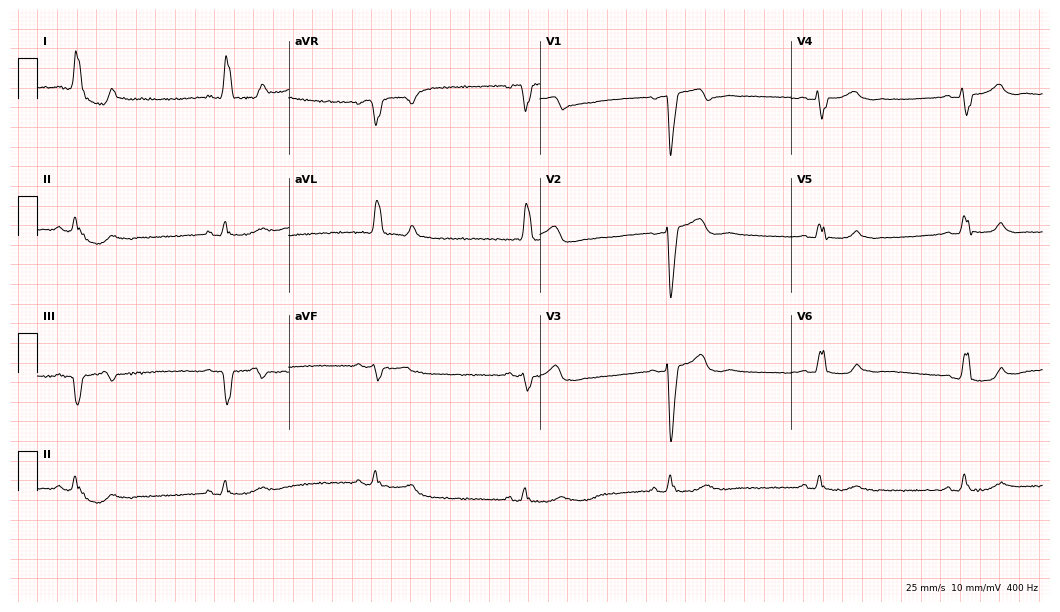
ECG (10.2-second recording at 400 Hz) — a 63-year-old female patient. Findings include left bundle branch block, sinus bradycardia (a sinus rate of 50 beats per minute or less).